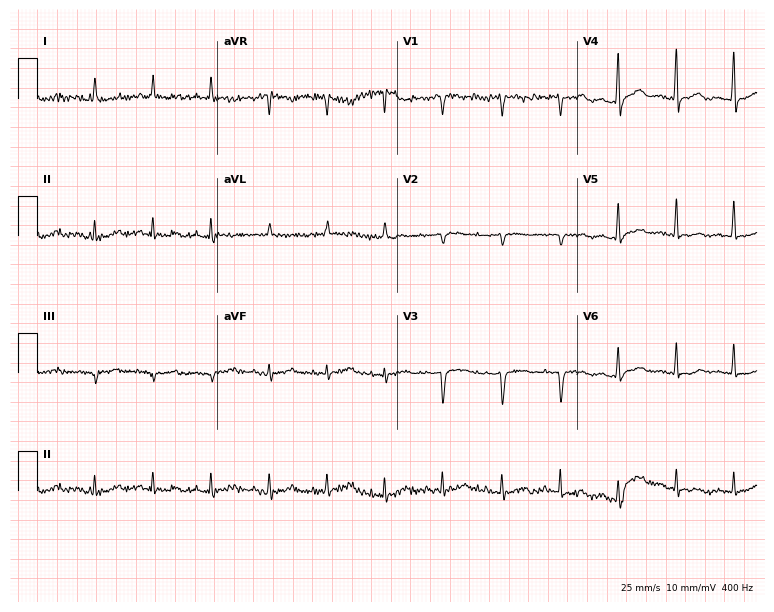
Resting 12-lead electrocardiogram (7.3-second recording at 400 Hz). Patient: an 83-year-old man. The tracing shows sinus tachycardia (a sinus rate of 100 beats per minute or more).